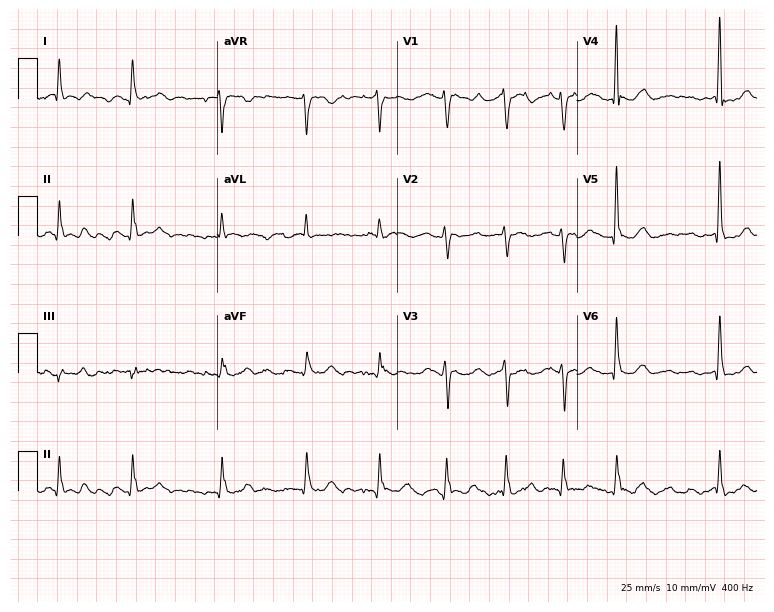
12-lead ECG from a female, 60 years old. Findings include atrial fibrillation (AF).